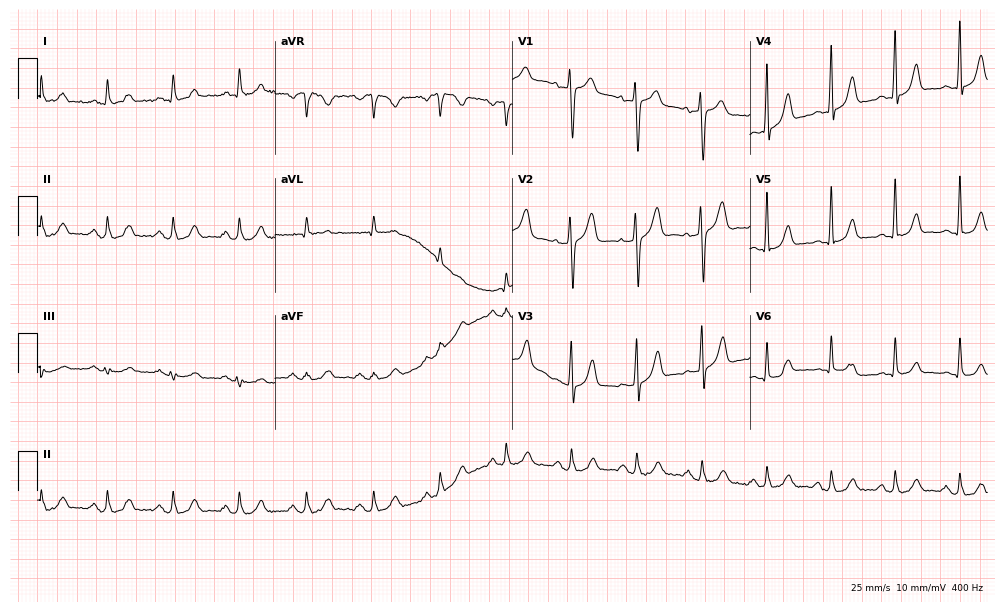
Electrocardiogram, a 55-year-old female patient. Overall reading on record: normal ECG.